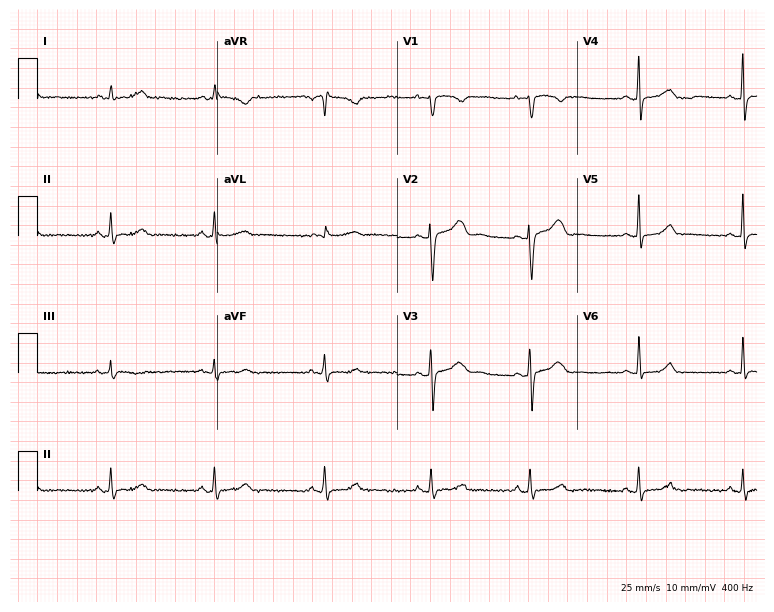
12-lead ECG from a female patient, 21 years old. Labelled as a normal ECG.